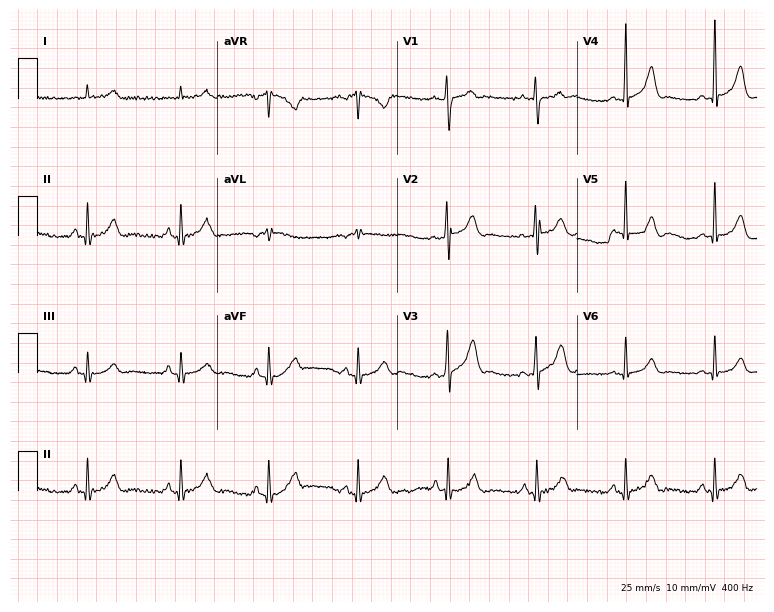
Electrocardiogram (7.3-second recording at 400 Hz), a 29-year-old male. Overall reading on record: normal ECG.